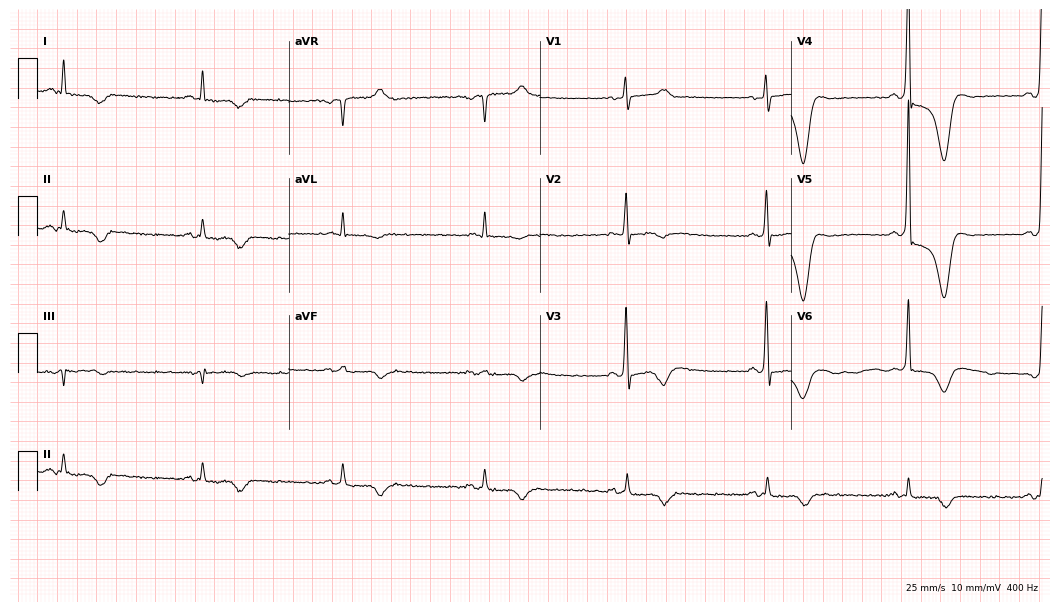
Electrocardiogram, a 57-year-old man. Interpretation includes sinus bradycardia (a sinus rate of 50 beats per minute or less).